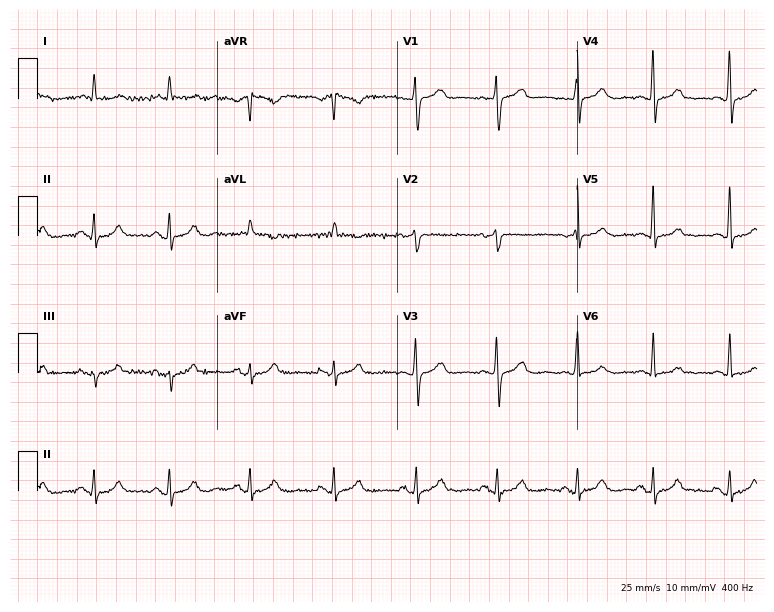
ECG — a woman, 63 years old. Labelled as a normal ECG.